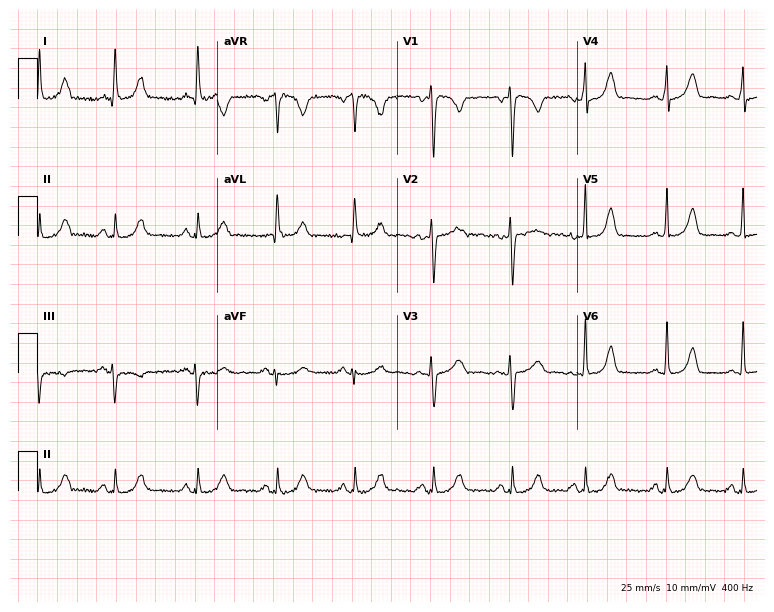
12-lead ECG from a woman, 34 years old. Screened for six findings — first-degree AV block, right bundle branch block (RBBB), left bundle branch block (LBBB), sinus bradycardia, atrial fibrillation (AF), sinus tachycardia — none is recorded.